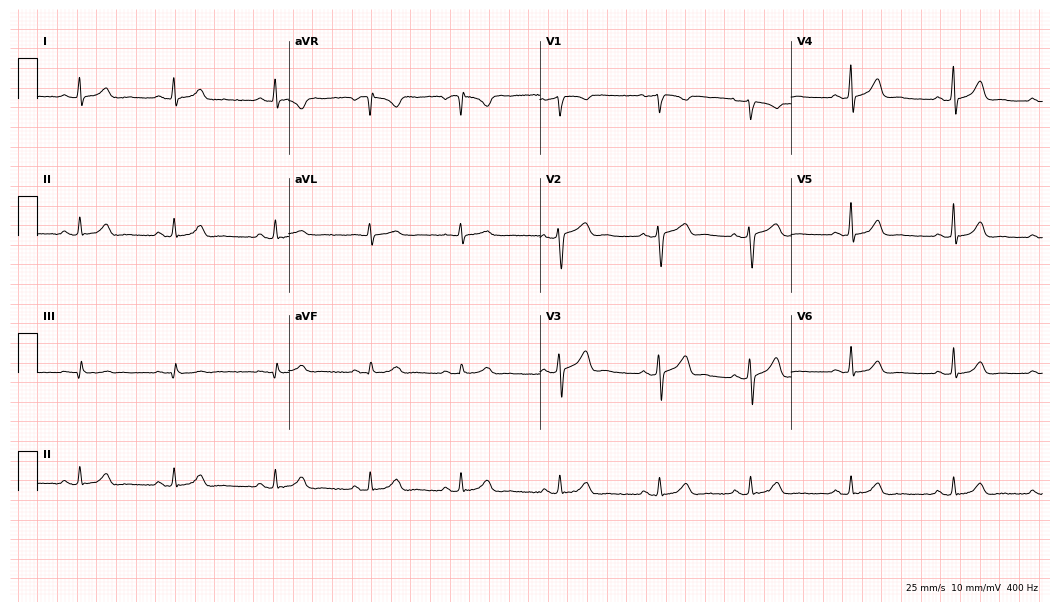
ECG (10.2-second recording at 400 Hz) — a female patient, 36 years old. Screened for six findings — first-degree AV block, right bundle branch block, left bundle branch block, sinus bradycardia, atrial fibrillation, sinus tachycardia — none is recorded.